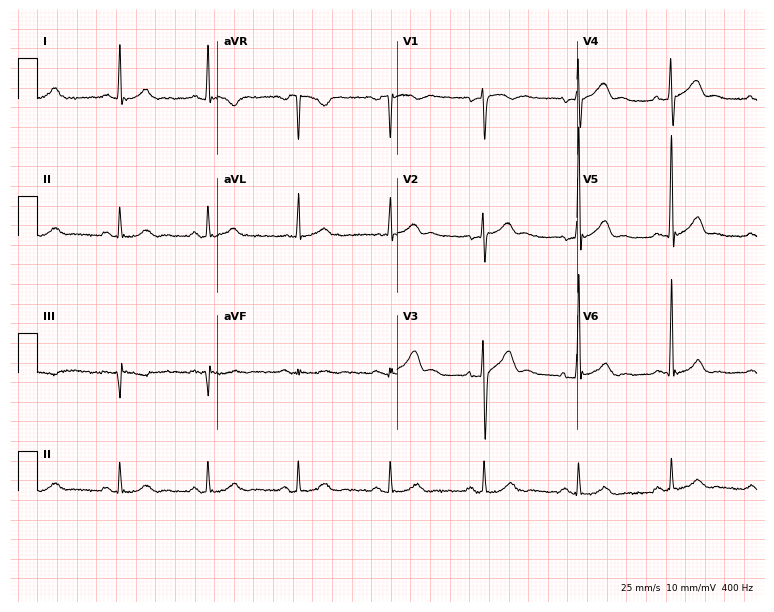
12-lead ECG from a male, 55 years old (7.3-second recording at 400 Hz). Recorded interpretation: within normal limits.